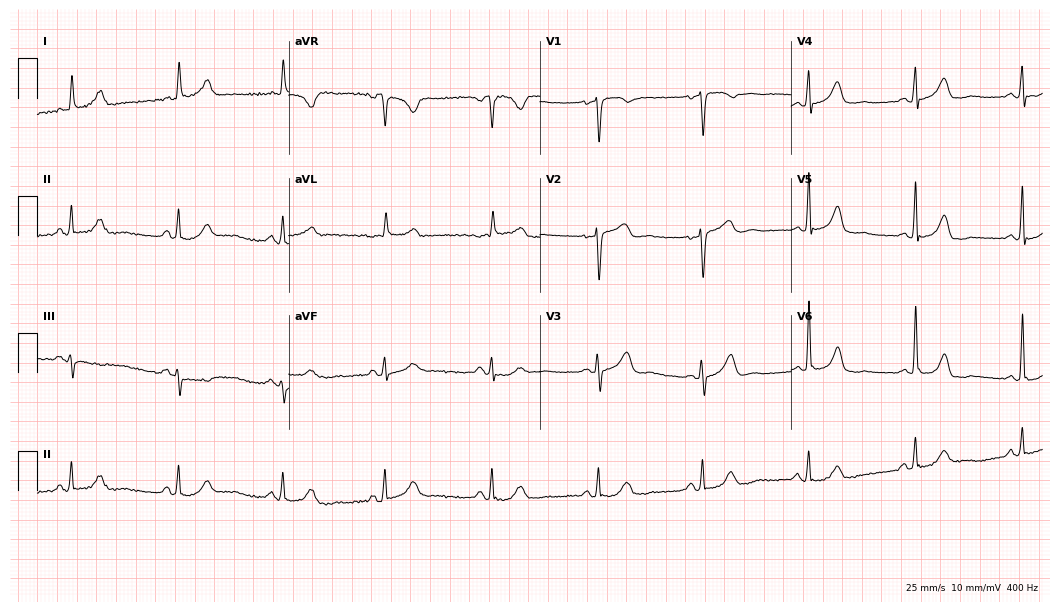
Standard 12-lead ECG recorded from a 61-year-old female patient. Read as a normal ECG.